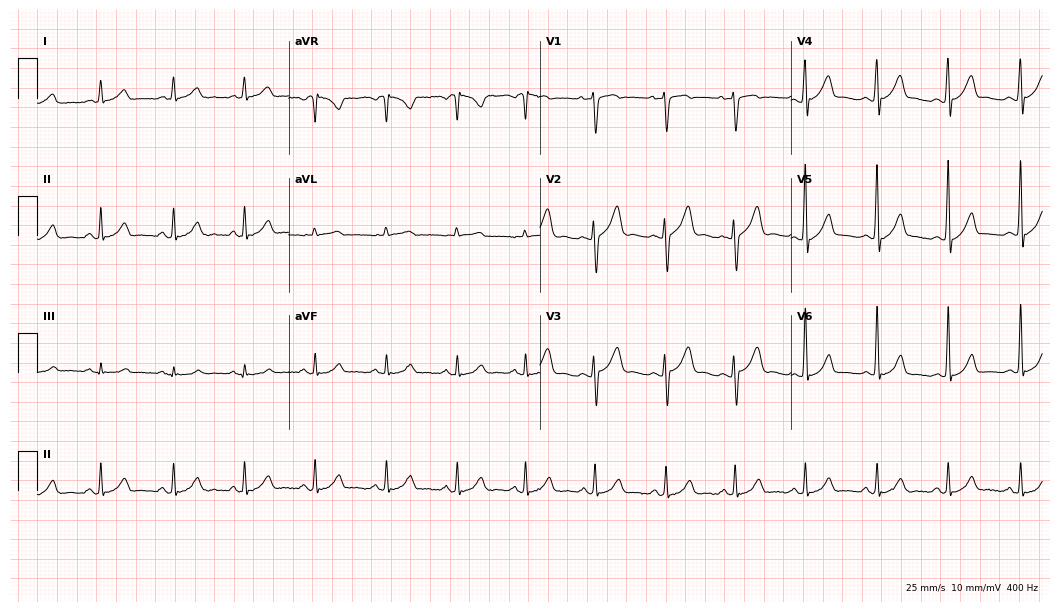
ECG (10.2-second recording at 400 Hz) — a female patient, 34 years old. Labelled as a normal ECG.